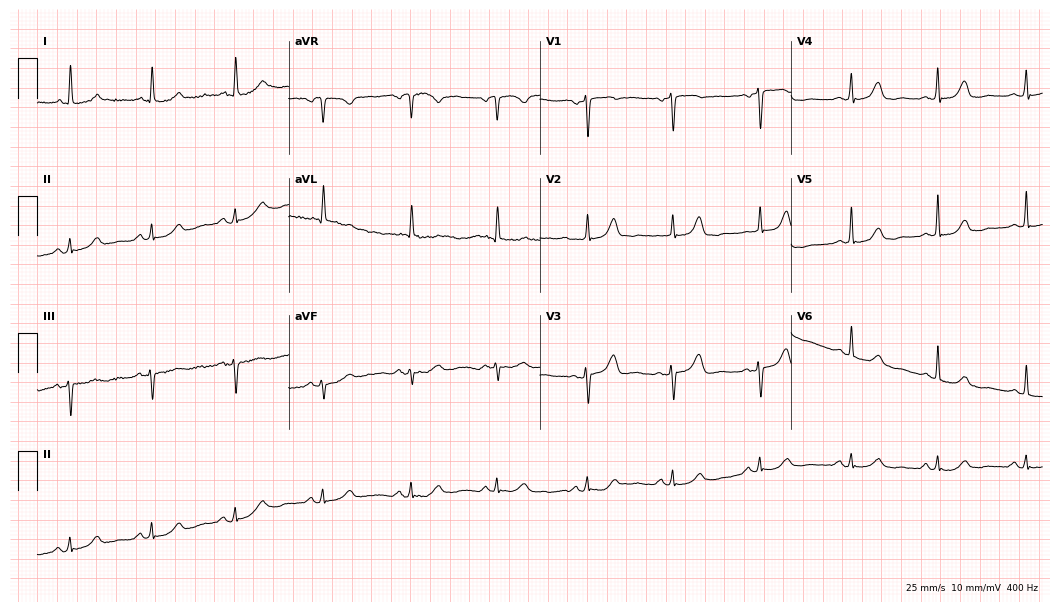
Electrocardiogram (10.2-second recording at 400 Hz), a female patient, 80 years old. Of the six screened findings (first-degree AV block, right bundle branch block, left bundle branch block, sinus bradycardia, atrial fibrillation, sinus tachycardia), none is recorded.